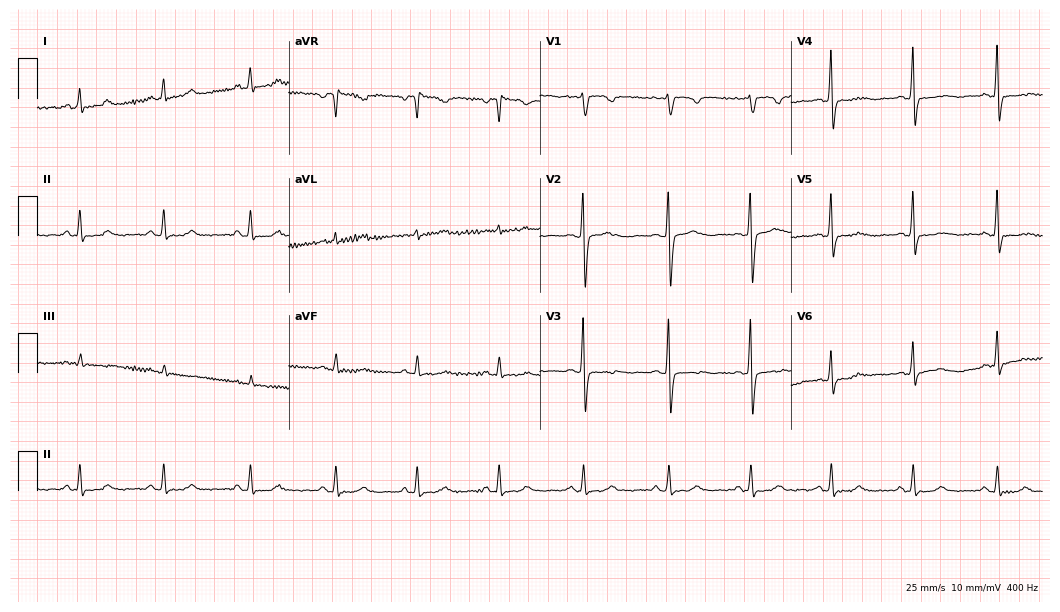
Electrocardiogram (10.2-second recording at 400 Hz), a female, 32 years old. Of the six screened findings (first-degree AV block, right bundle branch block (RBBB), left bundle branch block (LBBB), sinus bradycardia, atrial fibrillation (AF), sinus tachycardia), none is recorded.